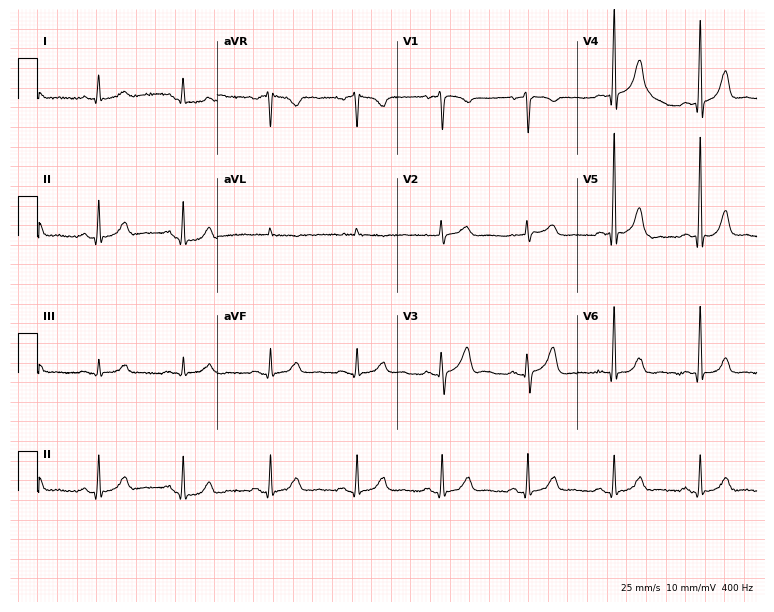
12-lead ECG from a 77-year-old female. Labelled as a normal ECG.